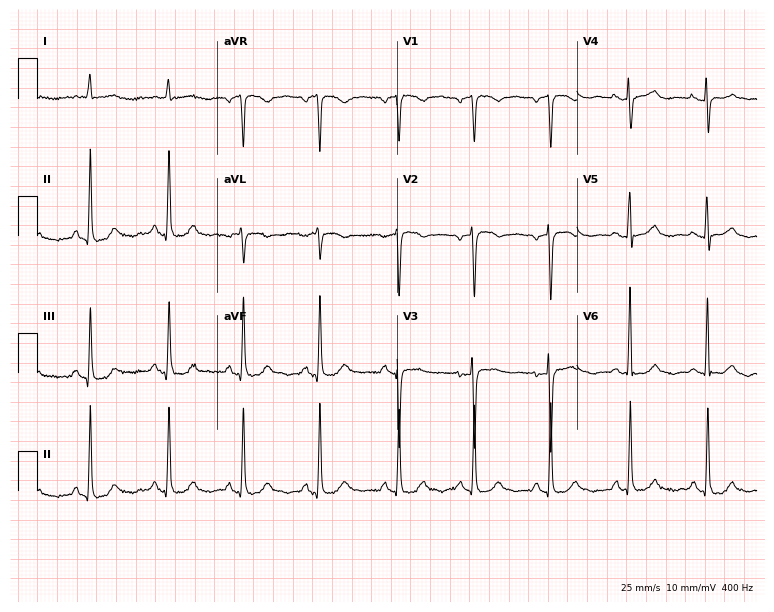
12-lead ECG from a woman, 72 years old. Recorded interpretation: within normal limits.